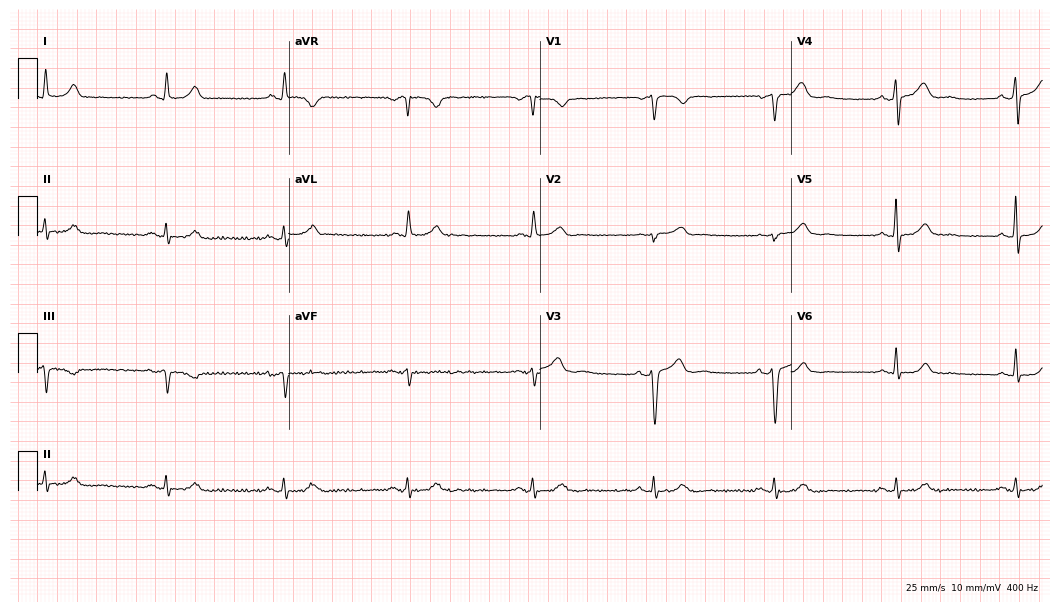
12-lead ECG from a 43-year-old male (10.2-second recording at 400 Hz). No first-degree AV block, right bundle branch block (RBBB), left bundle branch block (LBBB), sinus bradycardia, atrial fibrillation (AF) or sinus tachycardia recorded for this tracing. Only these six findings were labelled.